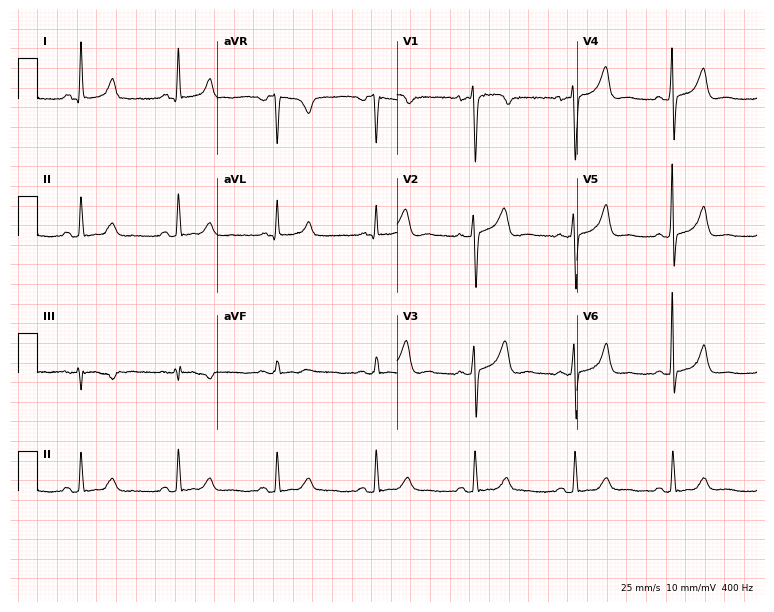
Electrocardiogram, a female patient, 43 years old. Of the six screened findings (first-degree AV block, right bundle branch block, left bundle branch block, sinus bradycardia, atrial fibrillation, sinus tachycardia), none is recorded. Only these six findings were labelled.